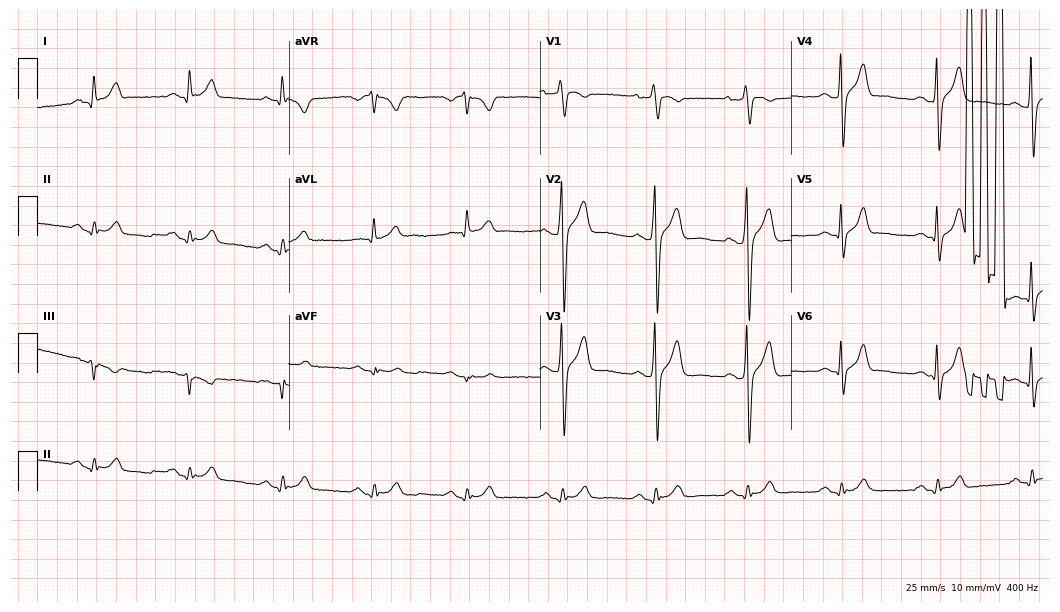
Resting 12-lead electrocardiogram. Patient: a 43-year-old man. None of these six findings is recorded: first-degree AV block, right bundle branch block, left bundle branch block, sinus bradycardia, atrial fibrillation, sinus tachycardia. Only these six findings were labelled.